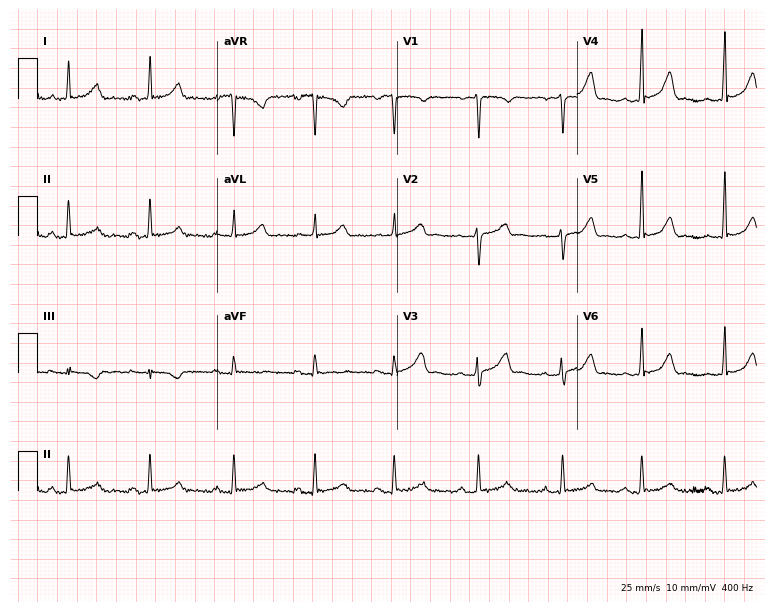
Standard 12-lead ECG recorded from a 31-year-old female patient. None of these six findings is recorded: first-degree AV block, right bundle branch block, left bundle branch block, sinus bradycardia, atrial fibrillation, sinus tachycardia. Findings outside these six are not listed.